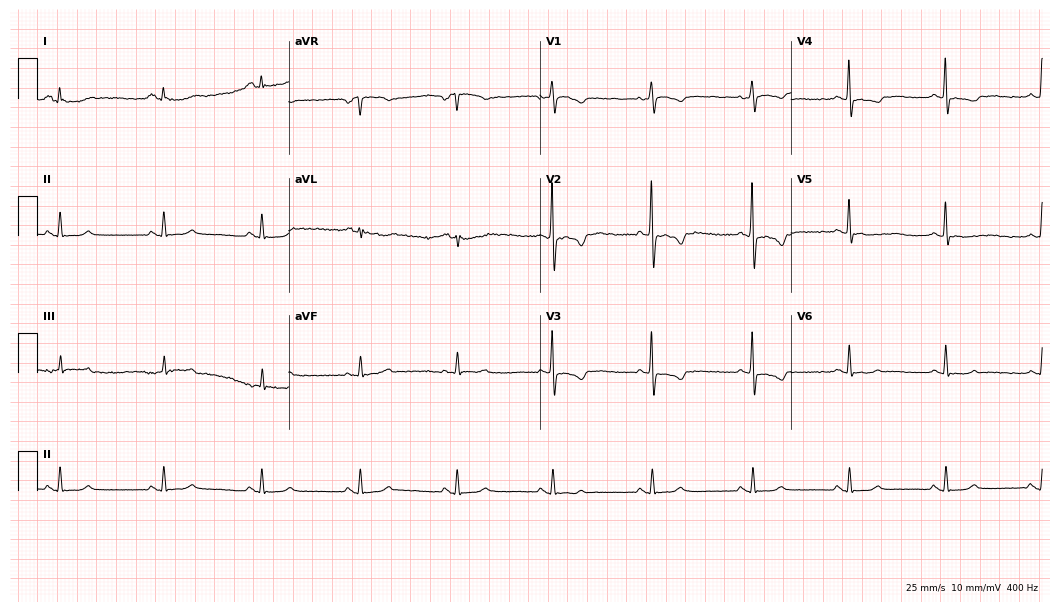
Resting 12-lead electrocardiogram (10.2-second recording at 400 Hz). Patient: a 25-year-old female. None of these six findings is recorded: first-degree AV block, right bundle branch block, left bundle branch block, sinus bradycardia, atrial fibrillation, sinus tachycardia. Other findings, if any, are not listed.